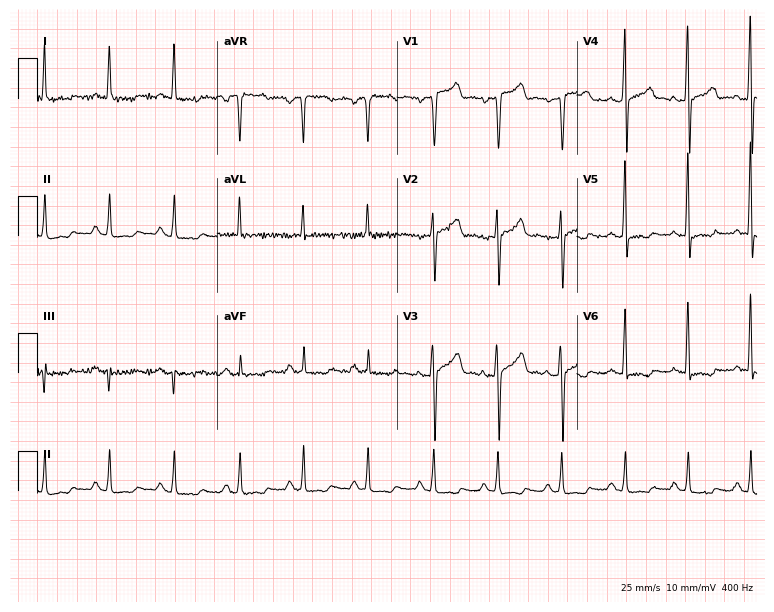
Standard 12-lead ECG recorded from a 62-year-old male patient. None of these six findings is recorded: first-degree AV block, right bundle branch block, left bundle branch block, sinus bradycardia, atrial fibrillation, sinus tachycardia.